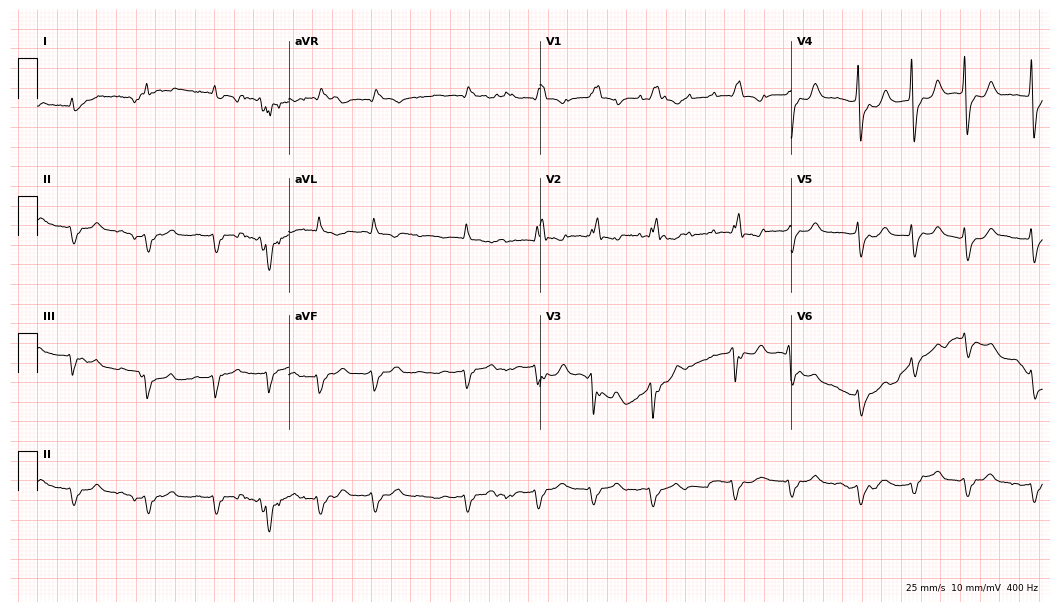
Electrocardiogram, a female patient, 83 years old. Interpretation includes right bundle branch block, atrial fibrillation.